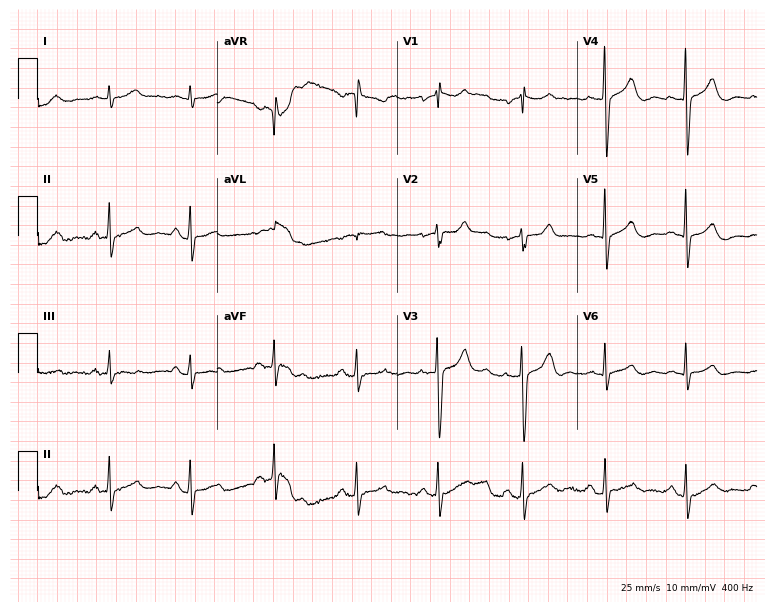
Standard 12-lead ECG recorded from a man, 83 years old (7.3-second recording at 400 Hz). None of these six findings is recorded: first-degree AV block, right bundle branch block, left bundle branch block, sinus bradycardia, atrial fibrillation, sinus tachycardia. Only these six findings were labelled.